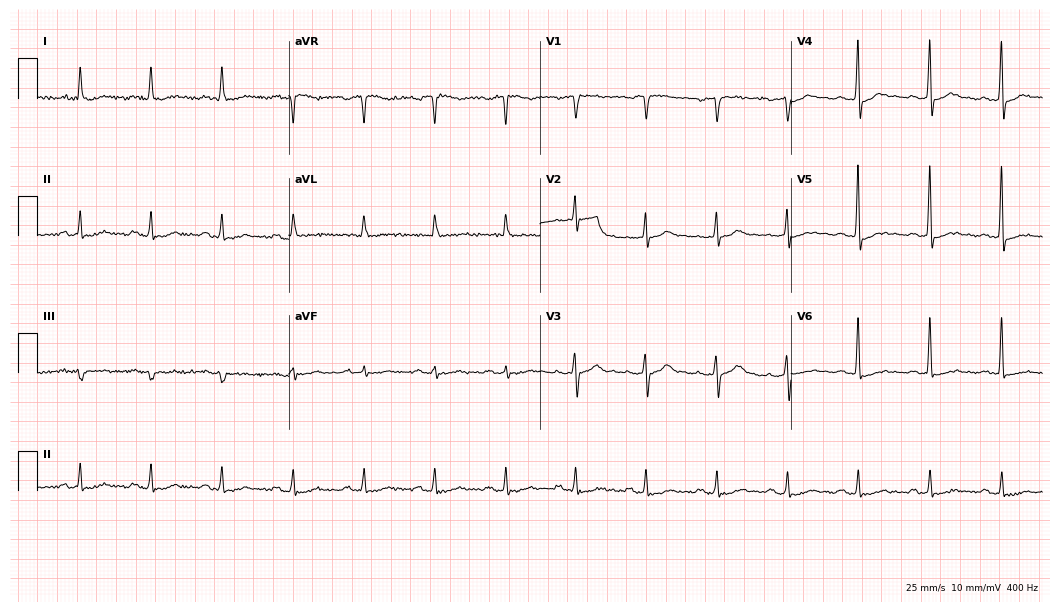
Resting 12-lead electrocardiogram. Patient: a man, 70 years old. Read as a normal ECG.